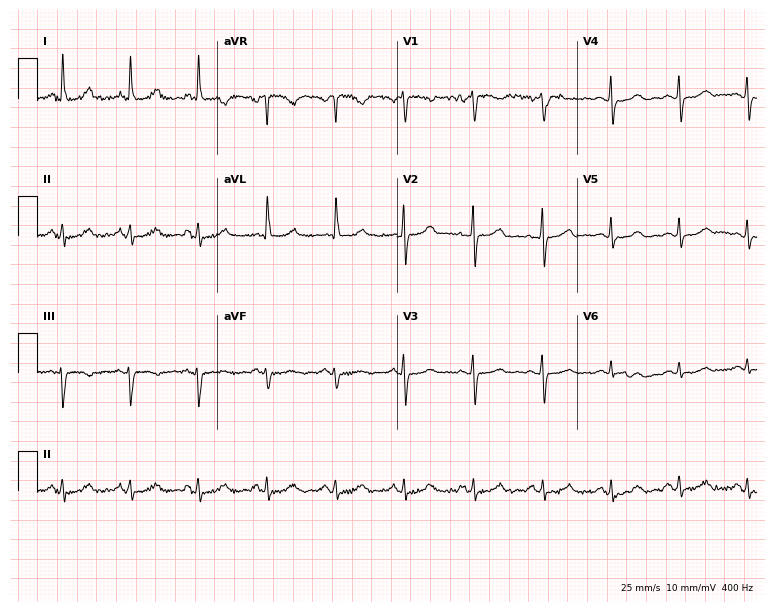
Standard 12-lead ECG recorded from a woman, 51 years old (7.3-second recording at 400 Hz). Read as a normal ECG.